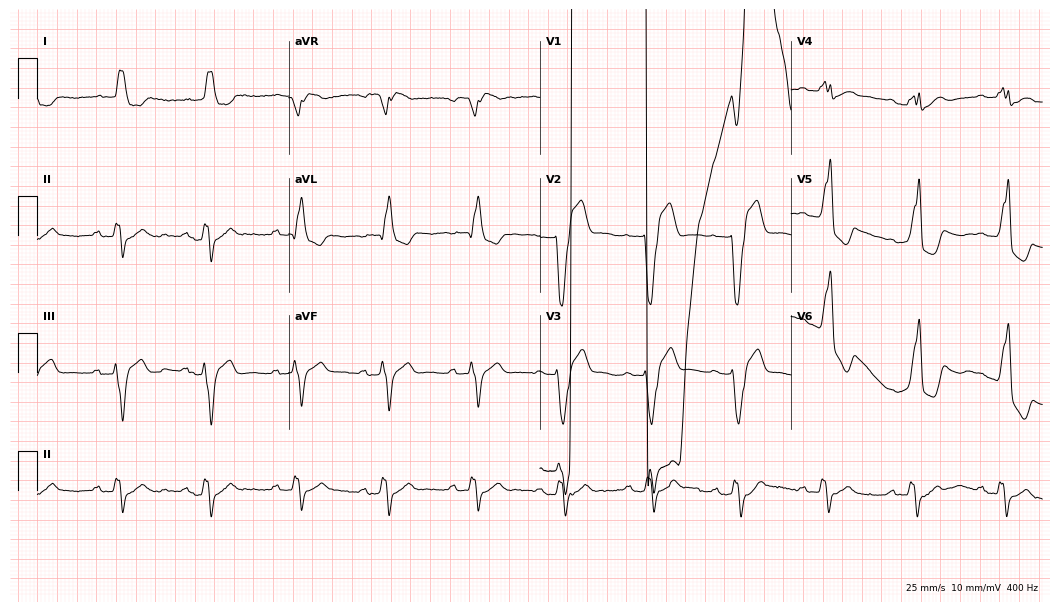
Electrocardiogram (10.2-second recording at 400 Hz), an 80-year-old female patient. Of the six screened findings (first-degree AV block, right bundle branch block (RBBB), left bundle branch block (LBBB), sinus bradycardia, atrial fibrillation (AF), sinus tachycardia), none is recorded.